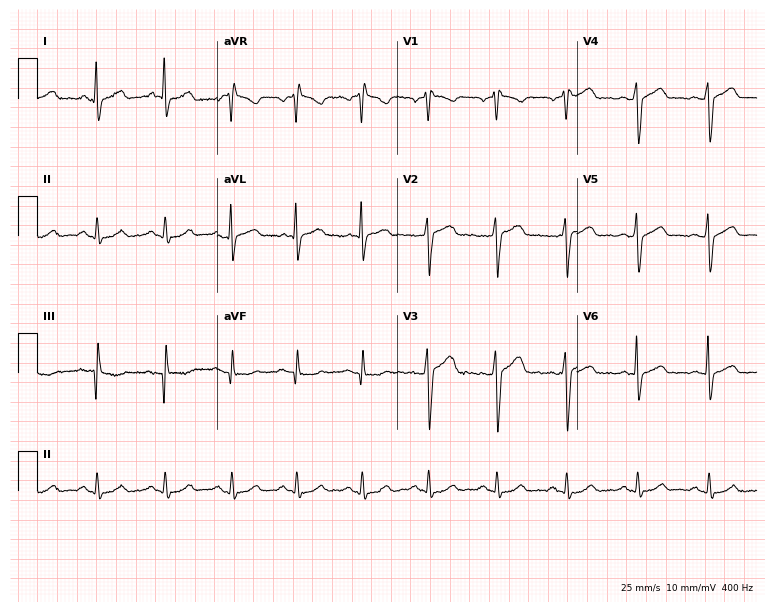
Standard 12-lead ECG recorded from a 45-year-old man (7.3-second recording at 400 Hz). None of these six findings is recorded: first-degree AV block, right bundle branch block, left bundle branch block, sinus bradycardia, atrial fibrillation, sinus tachycardia. Other findings, if any, are not listed.